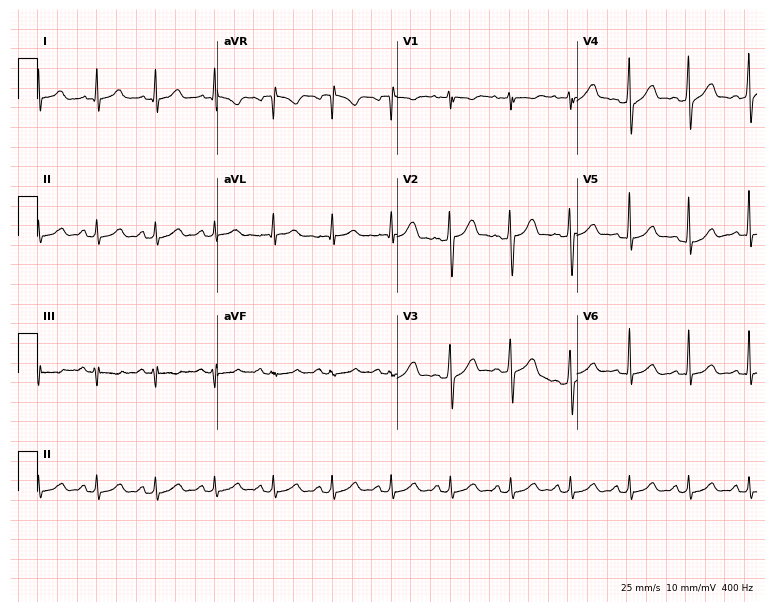
12-lead ECG (7.3-second recording at 400 Hz) from a male, 30 years old. Labelled as a normal ECG.